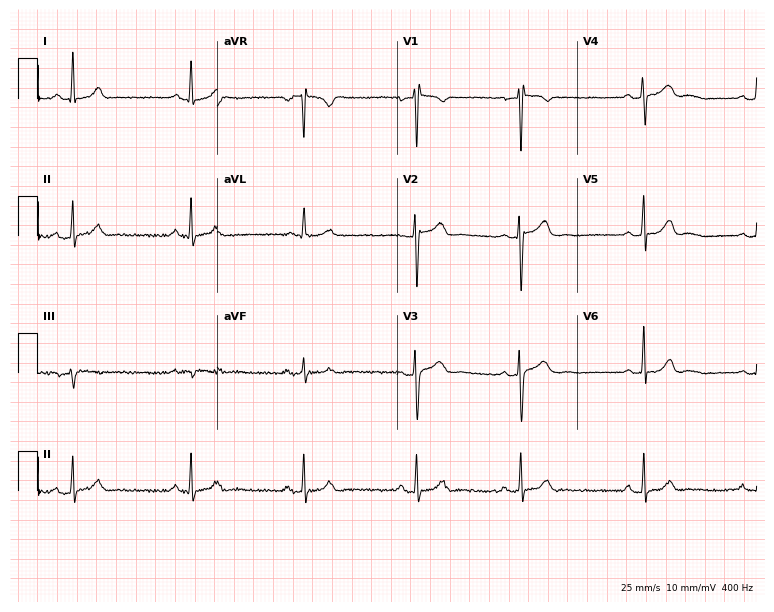
ECG (7.3-second recording at 400 Hz) — a female, 22 years old. Screened for six findings — first-degree AV block, right bundle branch block, left bundle branch block, sinus bradycardia, atrial fibrillation, sinus tachycardia — none is recorded. Other findings, if any, are not listed.